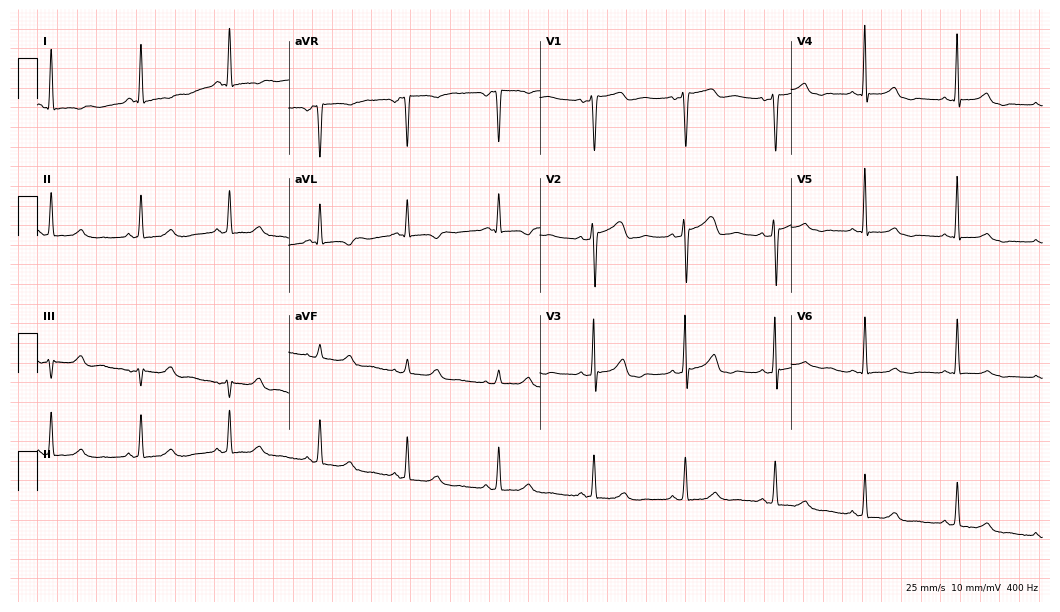
12-lead ECG (10.2-second recording at 400 Hz) from a female, 50 years old. Screened for six findings — first-degree AV block, right bundle branch block, left bundle branch block, sinus bradycardia, atrial fibrillation, sinus tachycardia — none is recorded. Only these six findings were labelled.